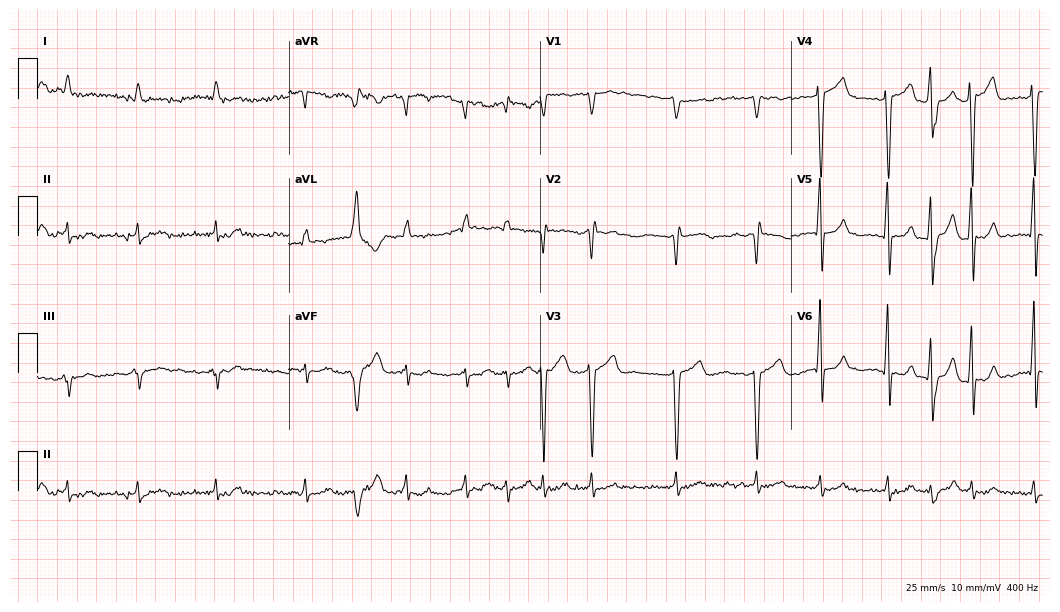
Resting 12-lead electrocardiogram. Patient: a 79-year-old man. None of these six findings is recorded: first-degree AV block, right bundle branch block, left bundle branch block, sinus bradycardia, atrial fibrillation, sinus tachycardia.